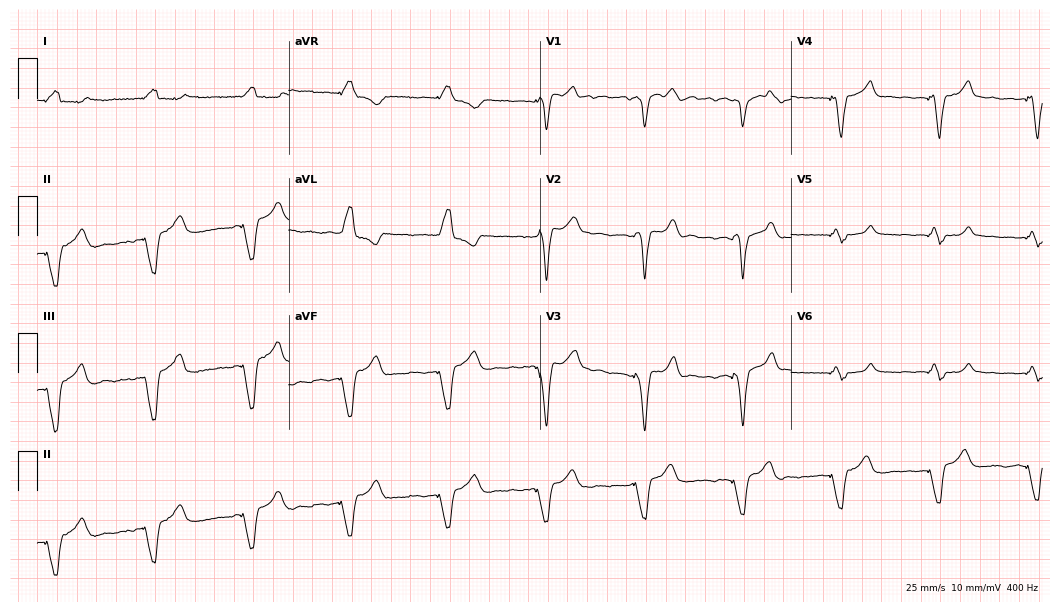
ECG — a man, 69 years old. Findings include first-degree AV block, left bundle branch block.